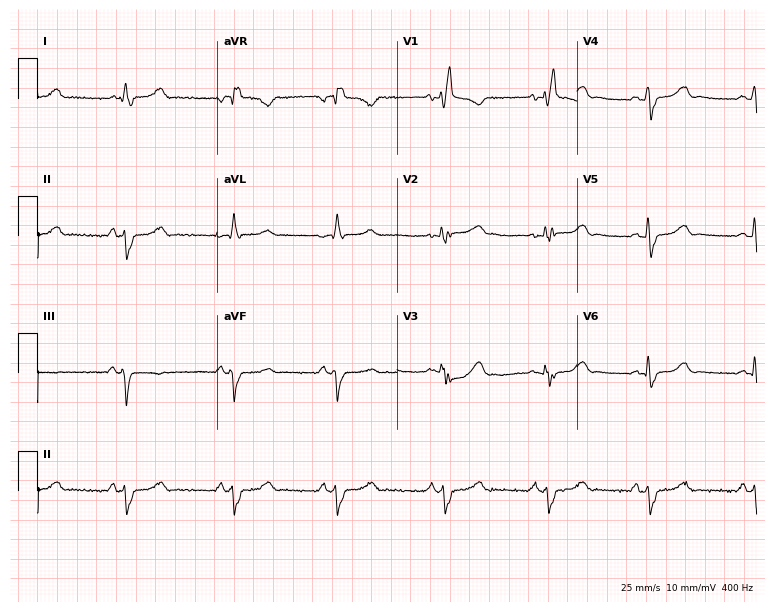
ECG — a female, 44 years old. Findings include right bundle branch block.